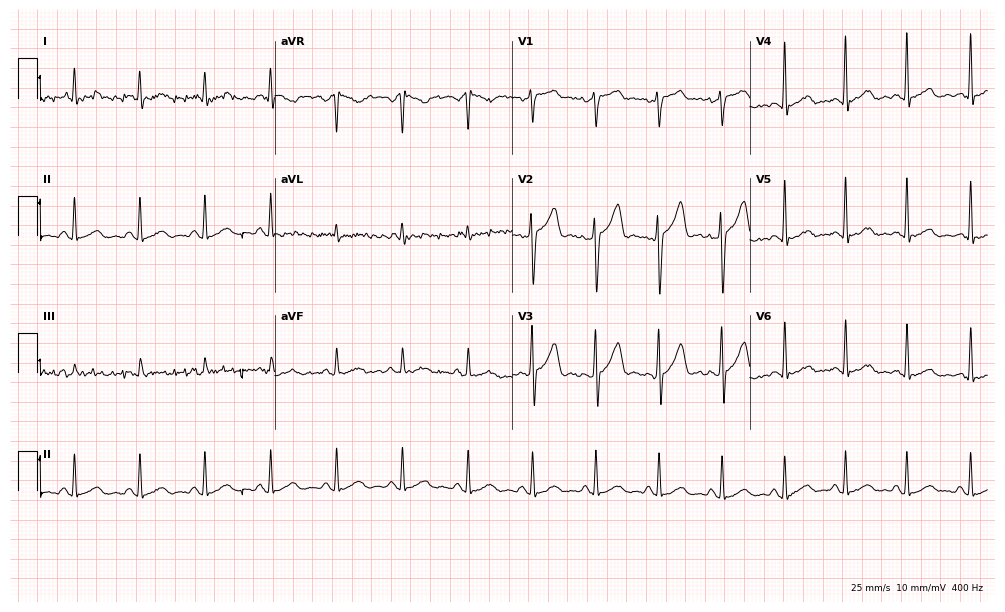
Resting 12-lead electrocardiogram. Patient: a 34-year-old male. Read as a normal ECG.